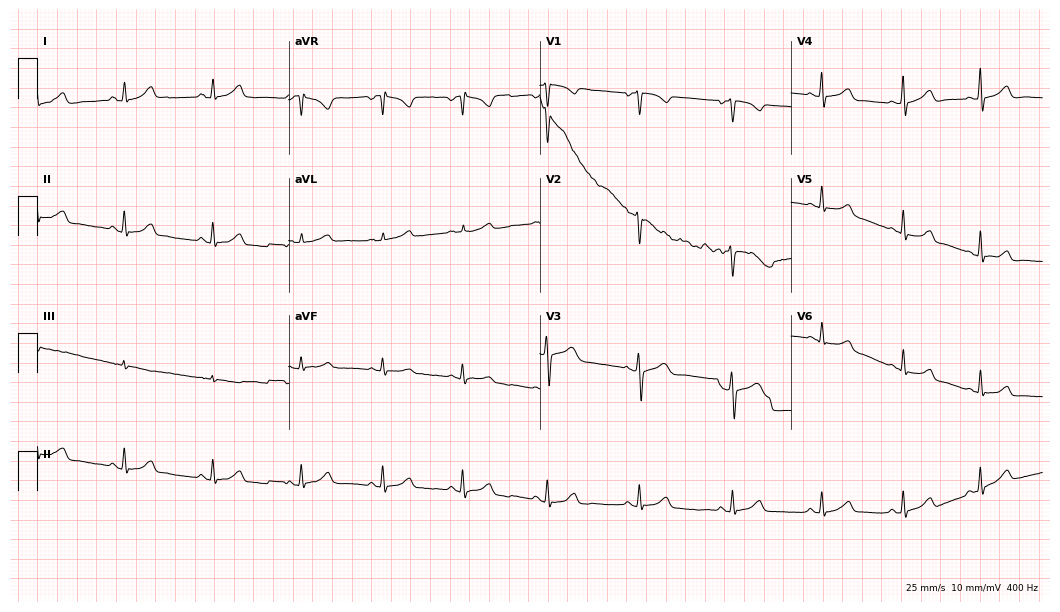
Electrocardiogram, a female patient, 31 years old. Of the six screened findings (first-degree AV block, right bundle branch block, left bundle branch block, sinus bradycardia, atrial fibrillation, sinus tachycardia), none is recorded.